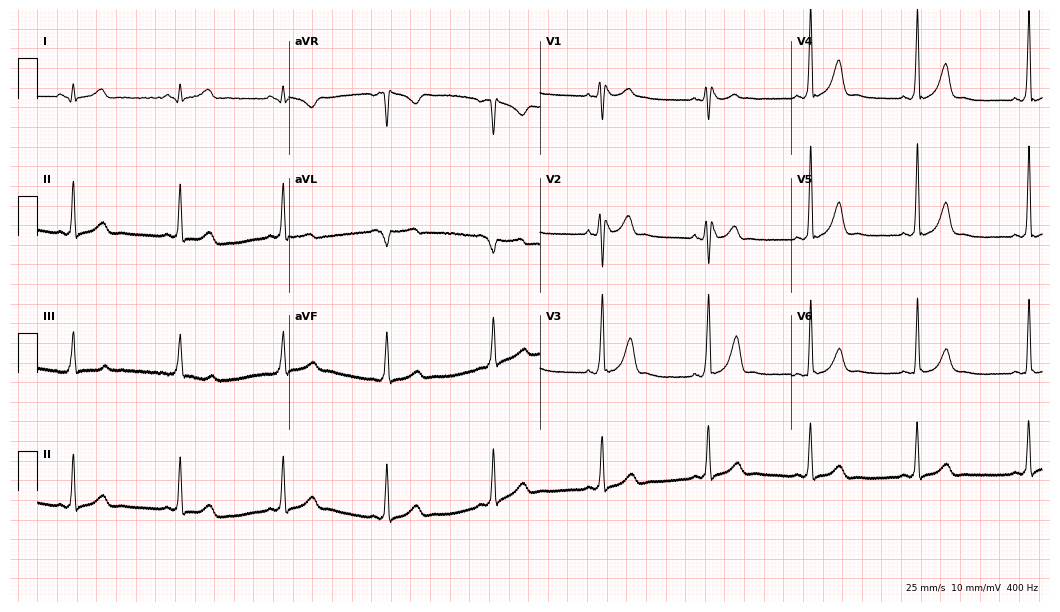
Resting 12-lead electrocardiogram (10.2-second recording at 400 Hz). Patient: a man, 32 years old. None of these six findings is recorded: first-degree AV block, right bundle branch block, left bundle branch block, sinus bradycardia, atrial fibrillation, sinus tachycardia.